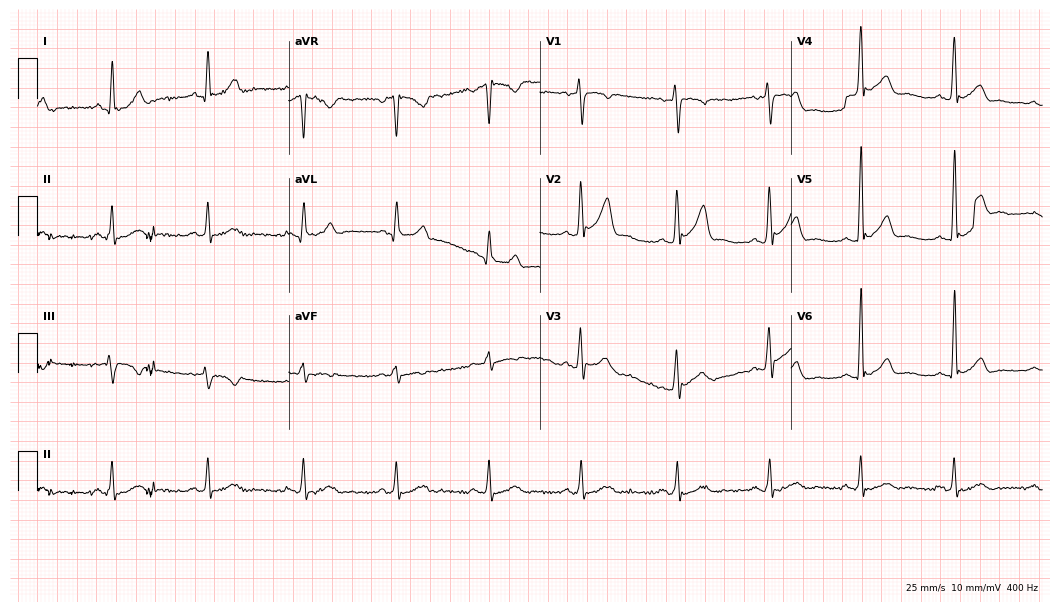
12-lead ECG (10.2-second recording at 400 Hz) from a male patient, 32 years old. Labelled as a normal ECG.